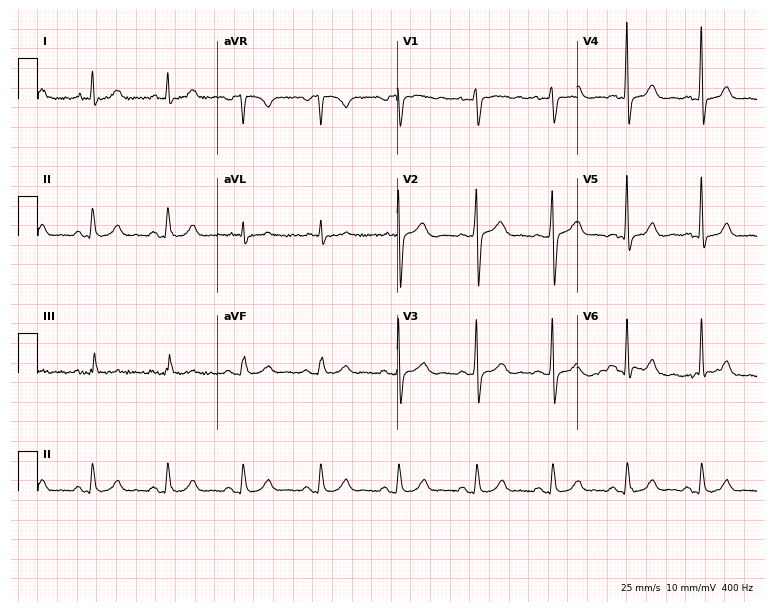
12-lead ECG (7.3-second recording at 400 Hz) from a 57-year-old male. Labelled as a normal ECG.